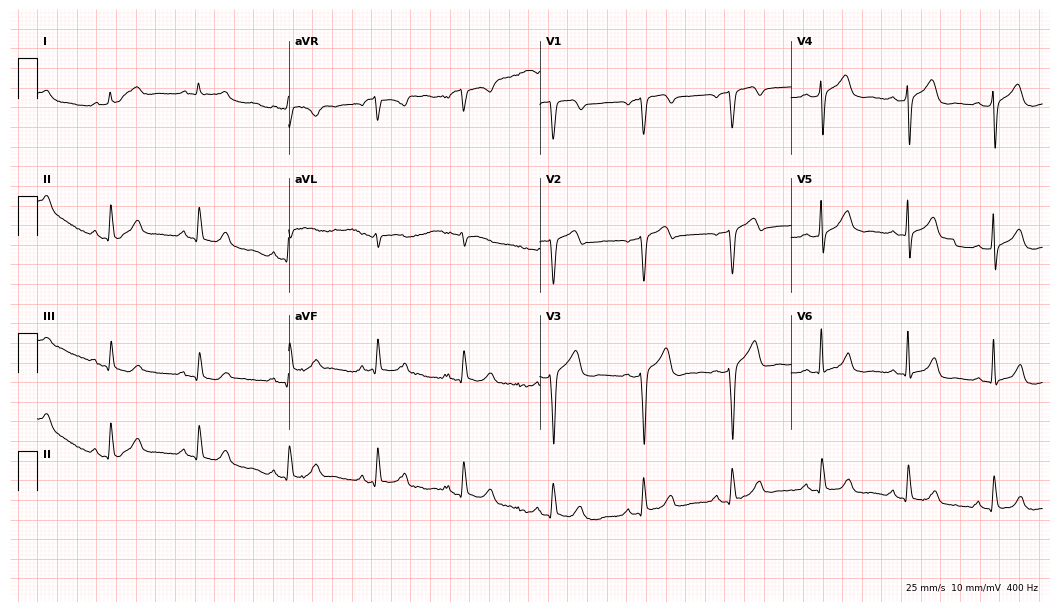
12-lead ECG from a 65-year-old man. Labelled as a normal ECG.